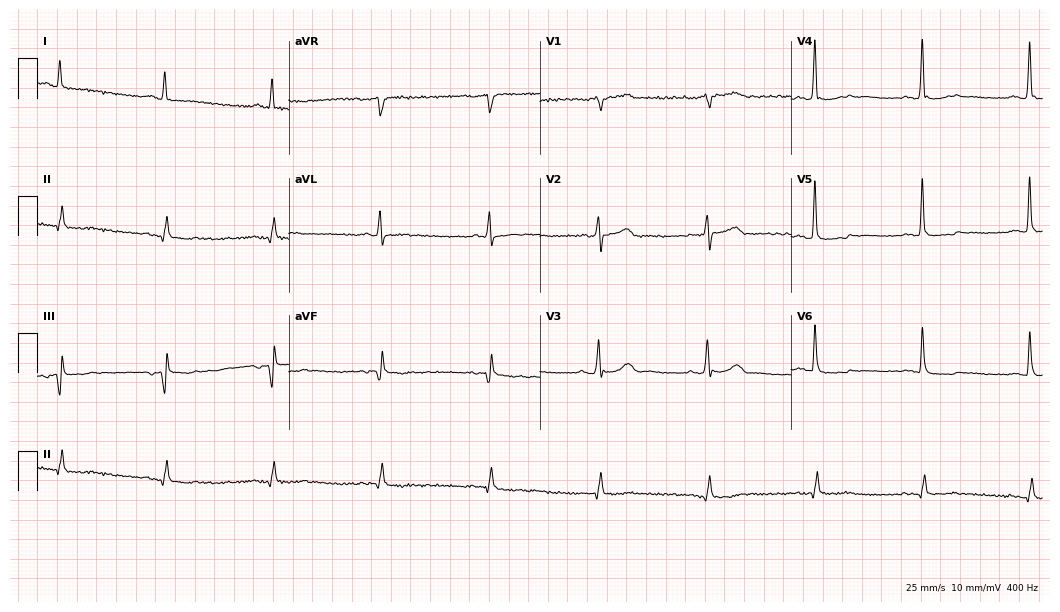
Standard 12-lead ECG recorded from a 64-year-old male patient (10.2-second recording at 400 Hz). None of these six findings is recorded: first-degree AV block, right bundle branch block (RBBB), left bundle branch block (LBBB), sinus bradycardia, atrial fibrillation (AF), sinus tachycardia.